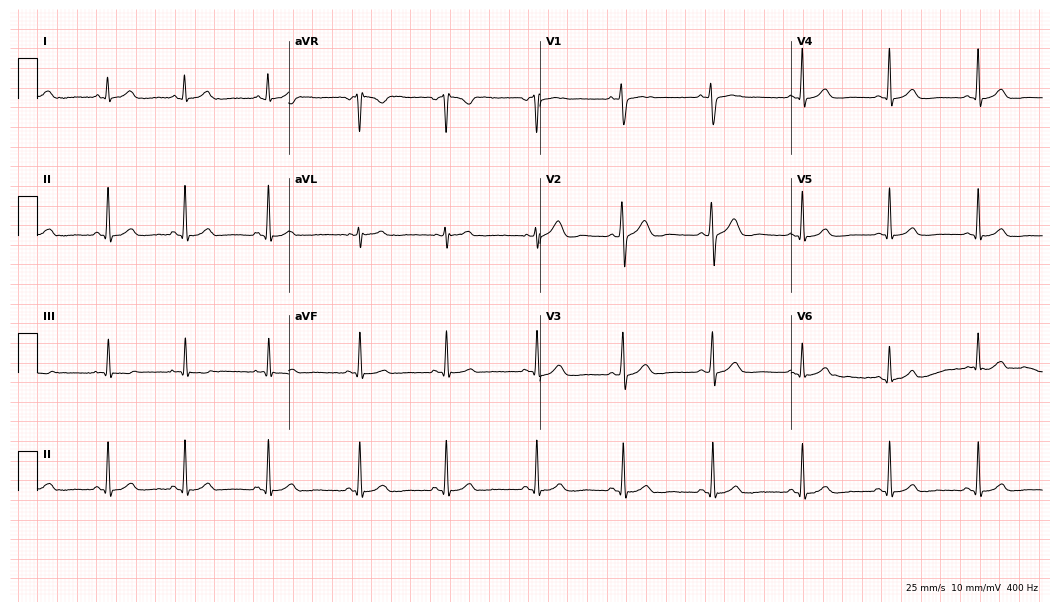
12-lead ECG from a 21-year-old woman. Recorded interpretation: within normal limits.